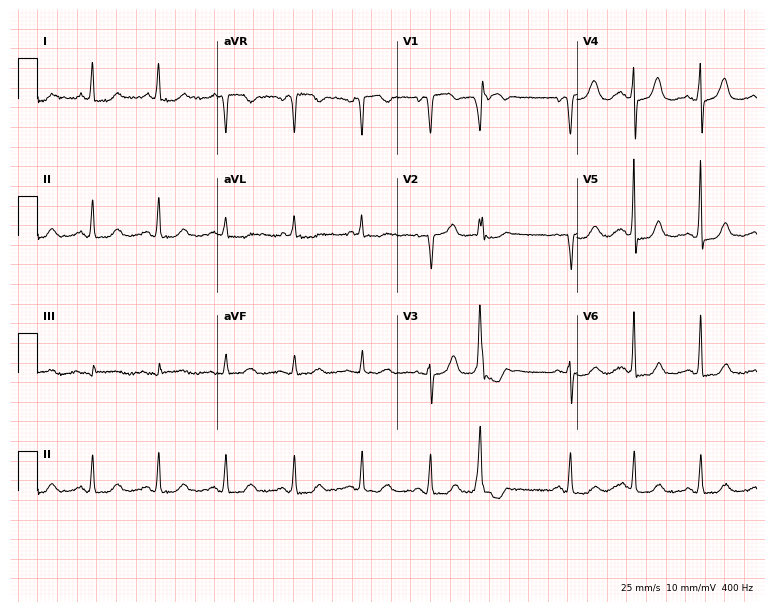
12-lead ECG (7.3-second recording at 400 Hz) from a woman, 77 years old. Screened for six findings — first-degree AV block, right bundle branch block, left bundle branch block, sinus bradycardia, atrial fibrillation, sinus tachycardia — none is recorded.